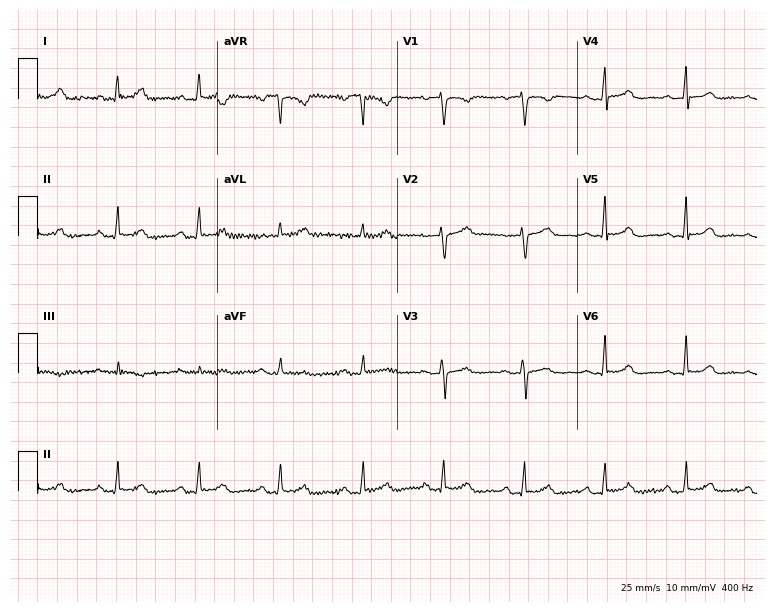
Standard 12-lead ECG recorded from a female, 48 years old (7.3-second recording at 400 Hz). Read as a normal ECG.